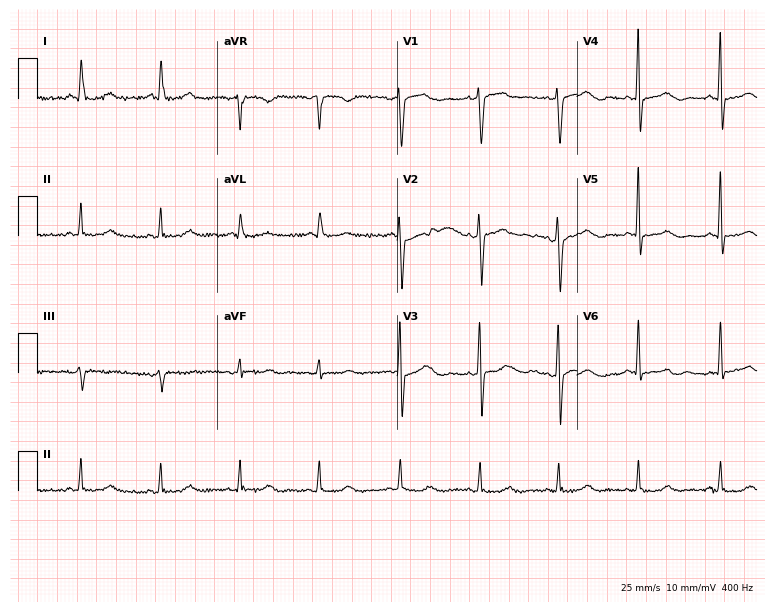
Electrocardiogram, a woman, 61 years old. Overall reading on record: normal ECG.